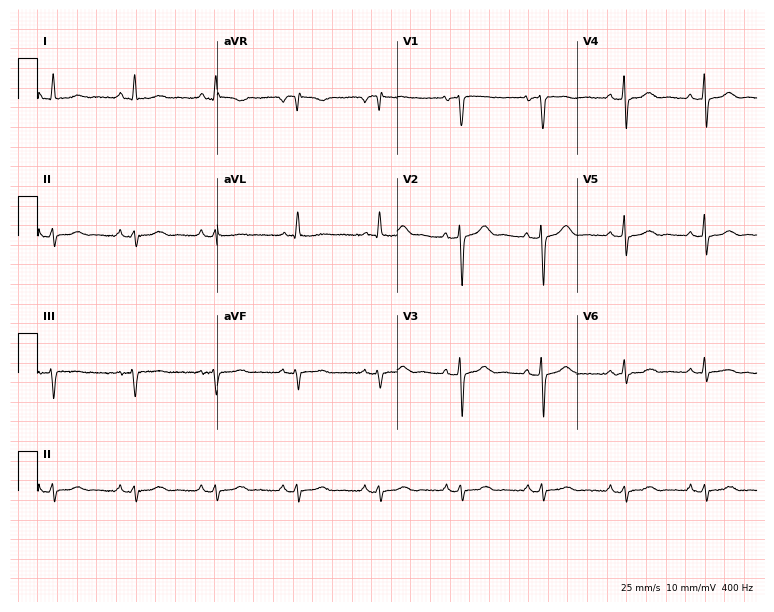
ECG (7.3-second recording at 400 Hz) — a woman, 64 years old. Labelled as a normal ECG.